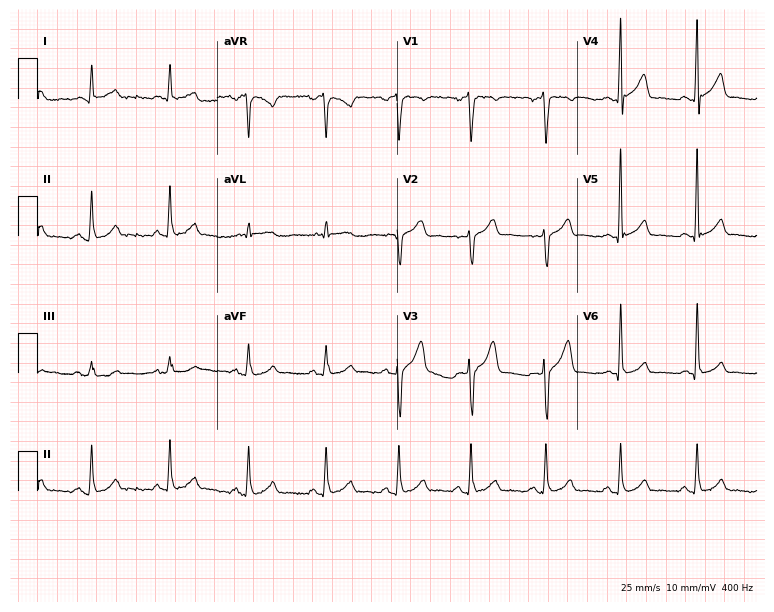
Standard 12-lead ECG recorded from a 37-year-old male patient. Read as a normal ECG.